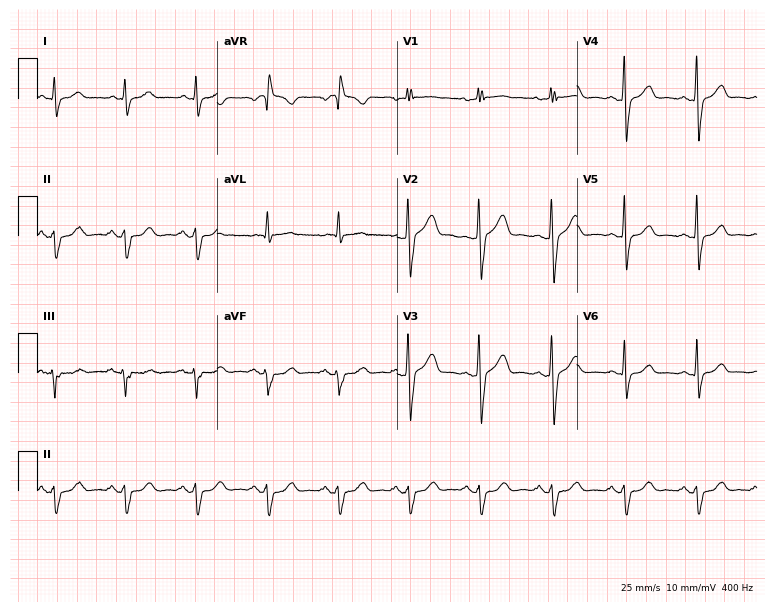
Resting 12-lead electrocardiogram. Patient: a male, 62 years old. None of these six findings is recorded: first-degree AV block, right bundle branch block, left bundle branch block, sinus bradycardia, atrial fibrillation, sinus tachycardia. Only these six findings were labelled.